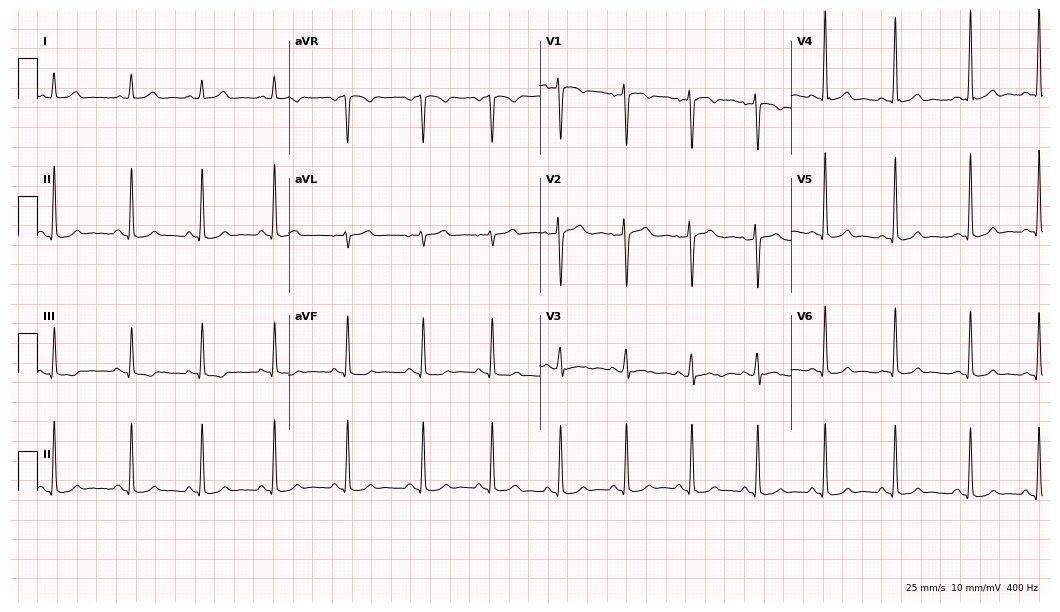
12-lead ECG (10.2-second recording at 400 Hz) from a 37-year-old woman. Labelled as a normal ECG.